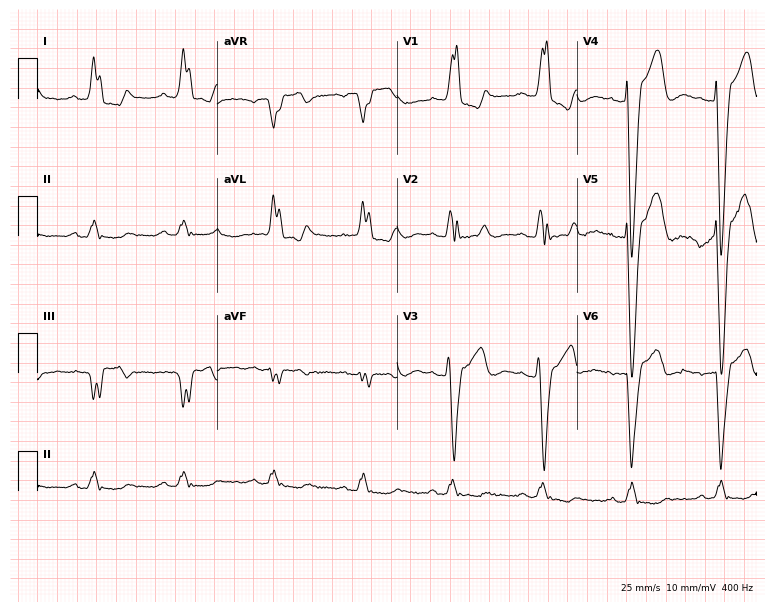
Resting 12-lead electrocardiogram (7.3-second recording at 400 Hz). Patient: a 73-year-old male. The tracing shows right bundle branch block.